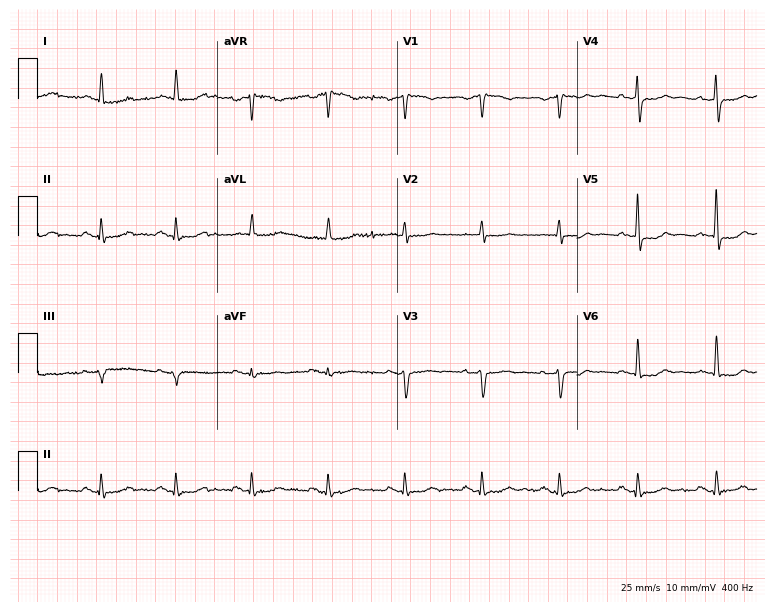
ECG — a male, 74 years old. Labelled as a normal ECG.